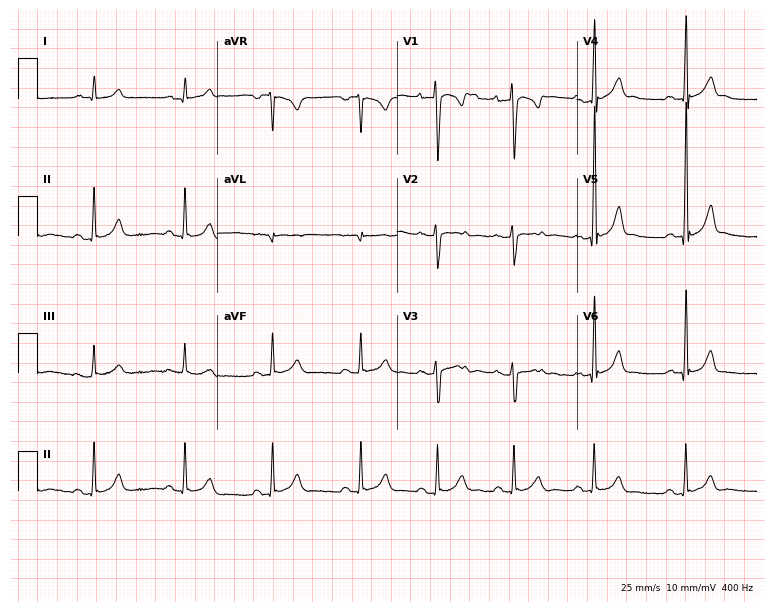
12-lead ECG (7.3-second recording at 400 Hz) from a 17-year-old male. Labelled as a normal ECG.